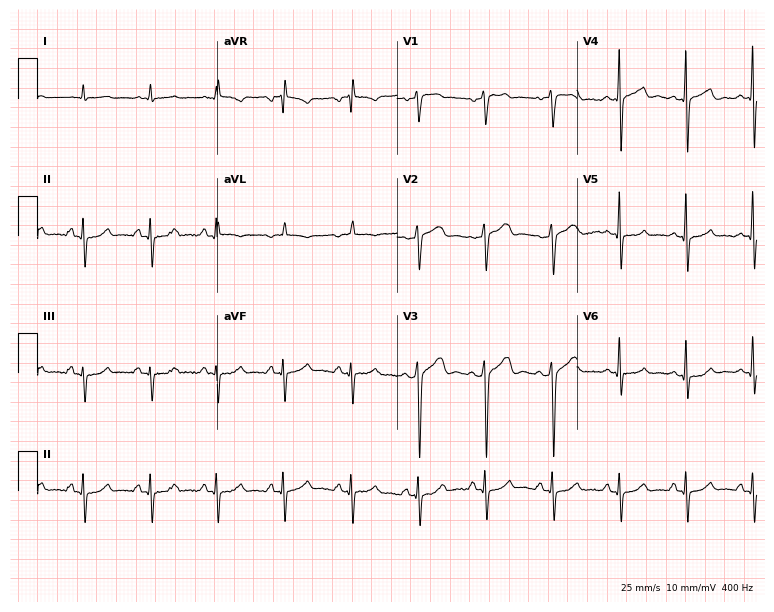
Electrocardiogram, a man, 60 years old. Of the six screened findings (first-degree AV block, right bundle branch block, left bundle branch block, sinus bradycardia, atrial fibrillation, sinus tachycardia), none is recorded. Findings outside these six are not listed.